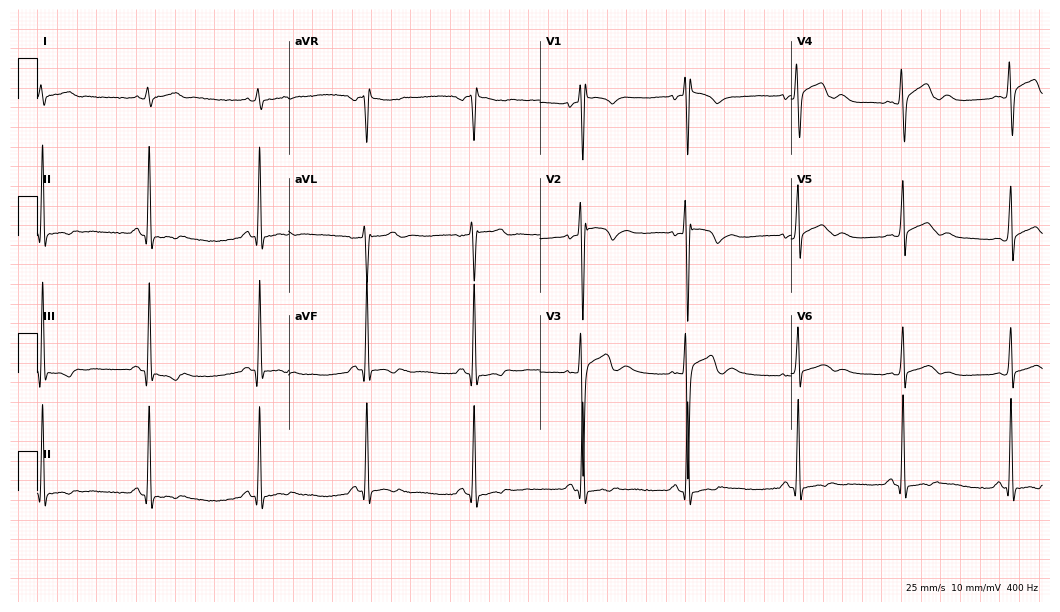
Resting 12-lead electrocardiogram. Patient: a man, 19 years old. None of these six findings is recorded: first-degree AV block, right bundle branch block, left bundle branch block, sinus bradycardia, atrial fibrillation, sinus tachycardia. Other findings, if any, are not listed.